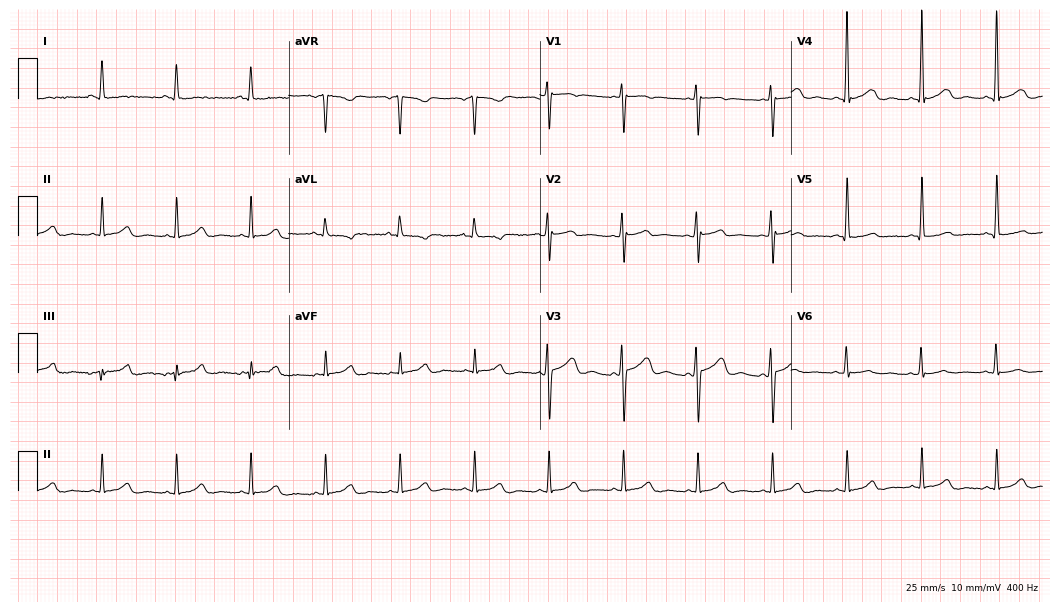
Resting 12-lead electrocardiogram. Patient: a 46-year-old woman. None of these six findings is recorded: first-degree AV block, right bundle branch block, left bundle branch block, sinus bradycardia, atrial fibrillation, sinus tachycardia.